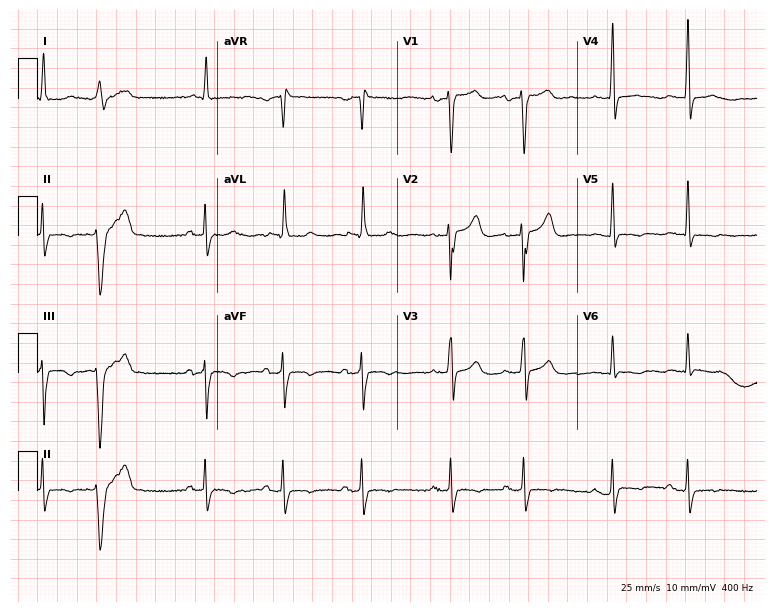
Electrocardiogram (7.3-second recording at 400 Hz), a female patient, 70 years old. Of the six screened findings (first-degree AV block, right bundle branch block (RBBB), left bundle branch block (LBBB), sinus bradycardia, atrial fibrillation (AF), sinus tachycardia), none is recorded. Only these six findings were labelled.